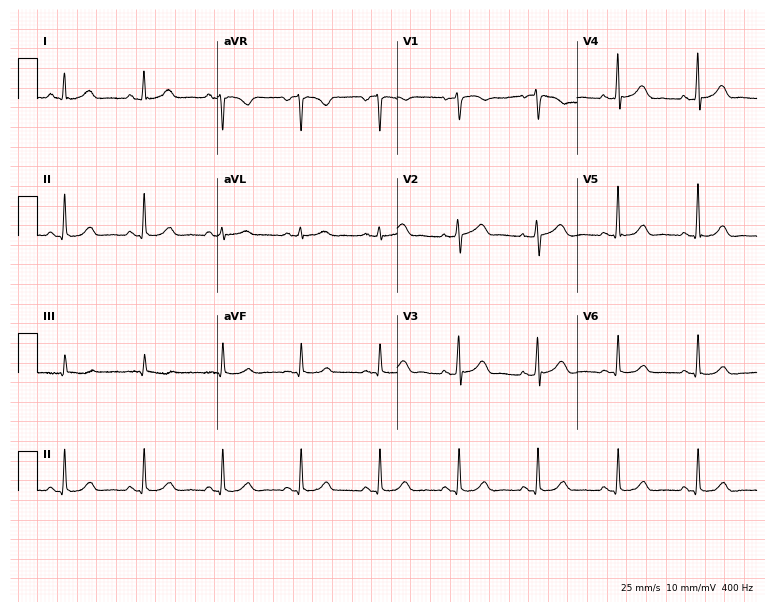
Resting 12-lead electrocardiogram (7.3-second recording at 400 Hz). Patient: a female, 60 years old. Read as a normal ECG.